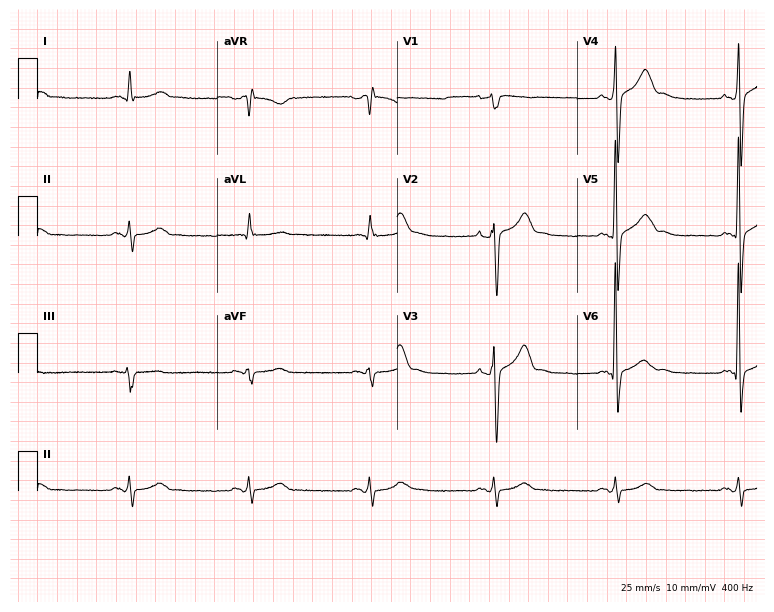
12-lead ECG from a male, 67 years old. Findings include sinus bradycardia (a sinus rate of 50 beats per minute or less).